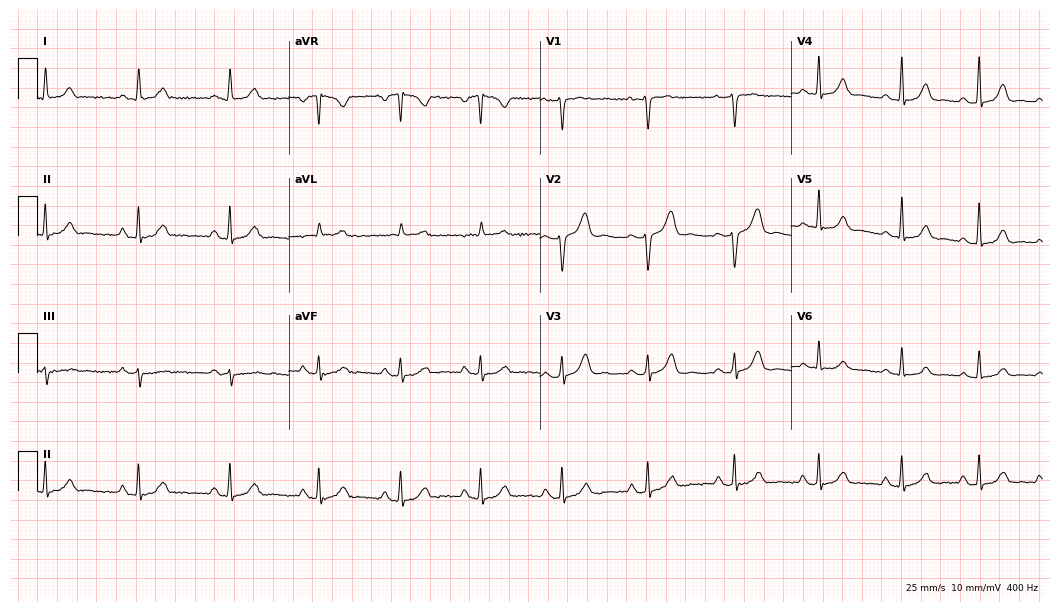
Standard 12-lead ECG recorded from a female patient, 38 years old (10.2-second recording at 400 Hz). Read as a normal ECG.